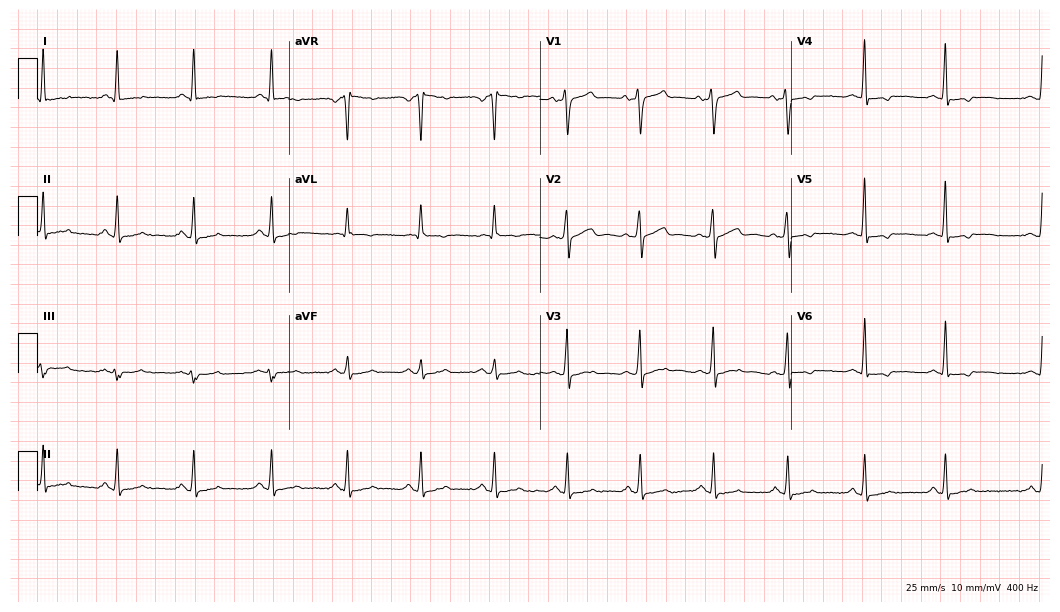
Electrocardiogram, a 54-year-old male. Of the six screened findings (first-degree AV block, right bundle branch block, left bundle branch block, sinus bradycardia, atrial fibrillation, sinus tachycardia), none is recorded.